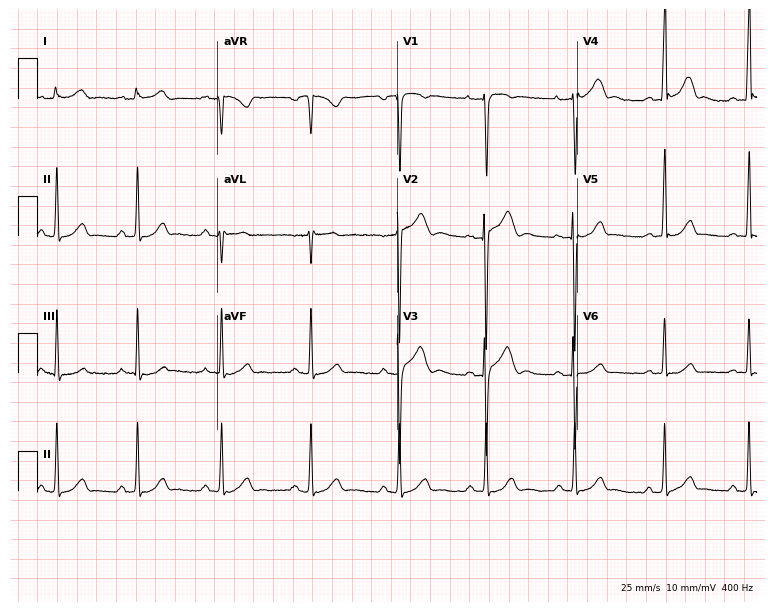
Resting 12-lead electrocardiogram (7.3-second recording at 400 Hz). Patient: a 19-year-old male. Read as a normal ECG.